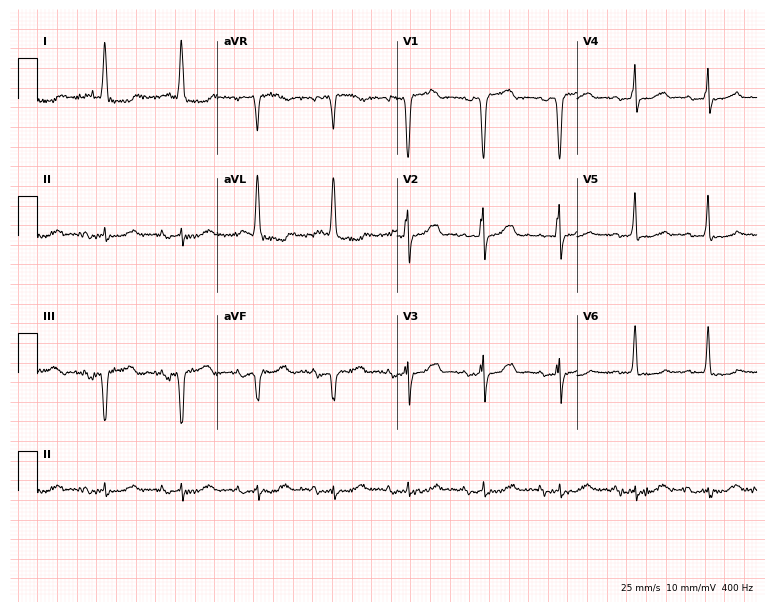
ECG (7.3-second recording at 400 Hz) — a 74-year-old female. Screened for six findings — first-degree AV block, right bundle branch block, left bundle branch block, sinus bradycardia, atrial fibrillation, sinus tachycardia — none is recorded.